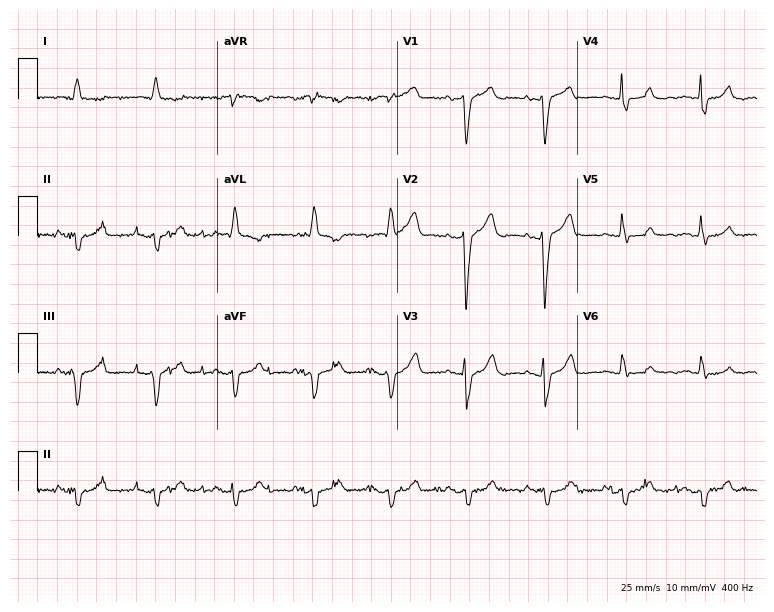
Electrocardiogram, a woman, 81 years old. Of the six screened findings (first-degree AV block, right bundle branch block, left bundle branch block, sinus bradycardia, atrial fibrillation, sinus tachycardia), none is recorded.